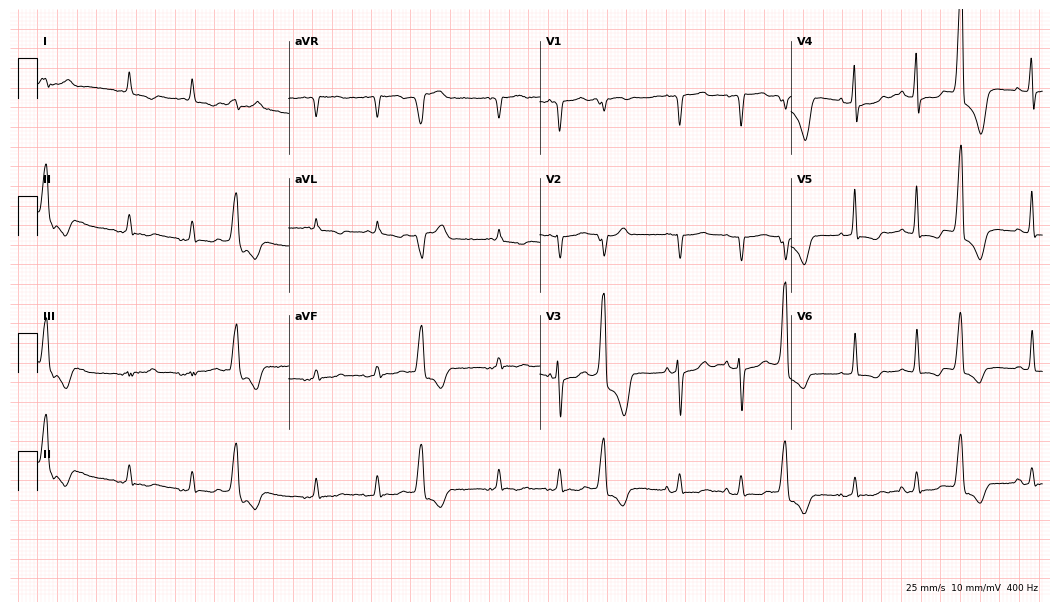
ECG (10.2-second recording at 400 Hz) — an 82-year-old female. Screened for six findings — first-degree AV block, right bundle branch block, left bundle branch block, sinus bradycardia, atrial fibrillation, sinus tachycardia — none is recorded.